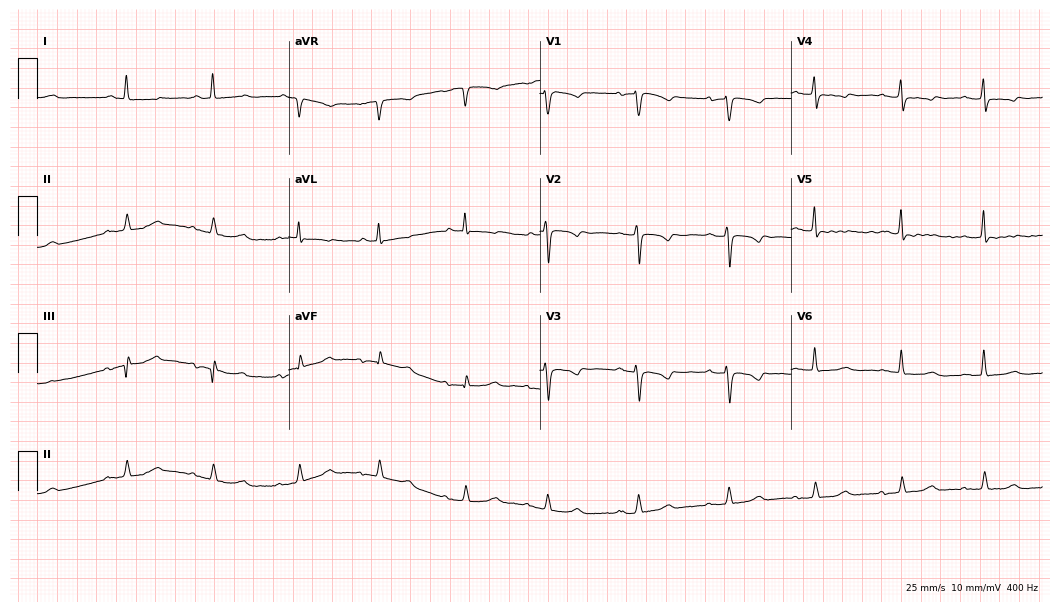
ECG — a female patient, 83 years old. Screened for six findings — first-degree AV block, right bundle branch block, left bundle branch block, sinus bradycardia, atrial fibrillation, sinus tachycardia — none is recorded.